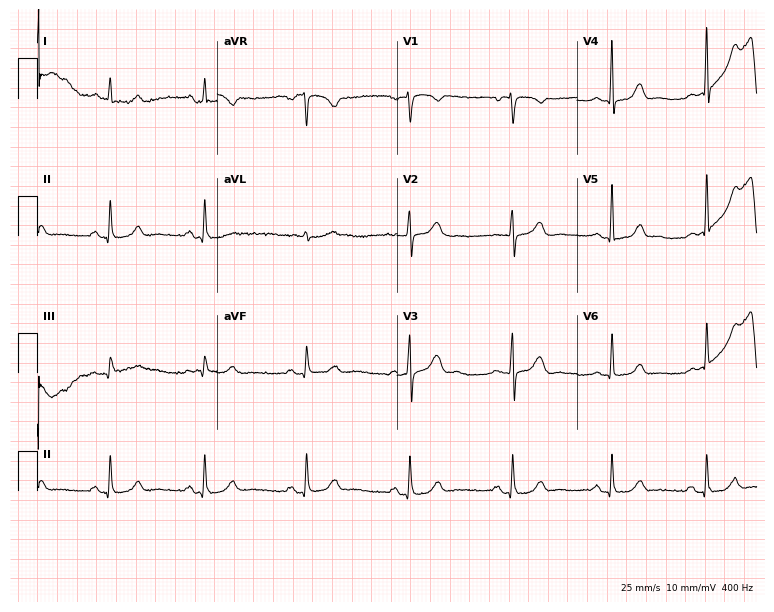
ECG (7.3-second recording at 400 Hz) — a 61-year-old woman. Labelled as a normal ECG.